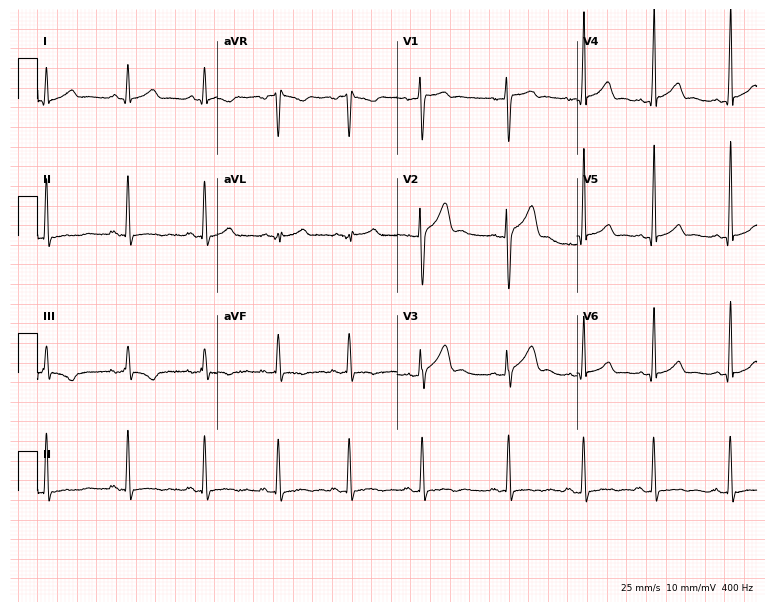
ECG — a 22-year-old man. Screened for six findings — first-degree AV block, right bundle branch block, left bundle branch block, sinus bradycardia, atrial fibrillation, sinus tachycardia — none is recorded.